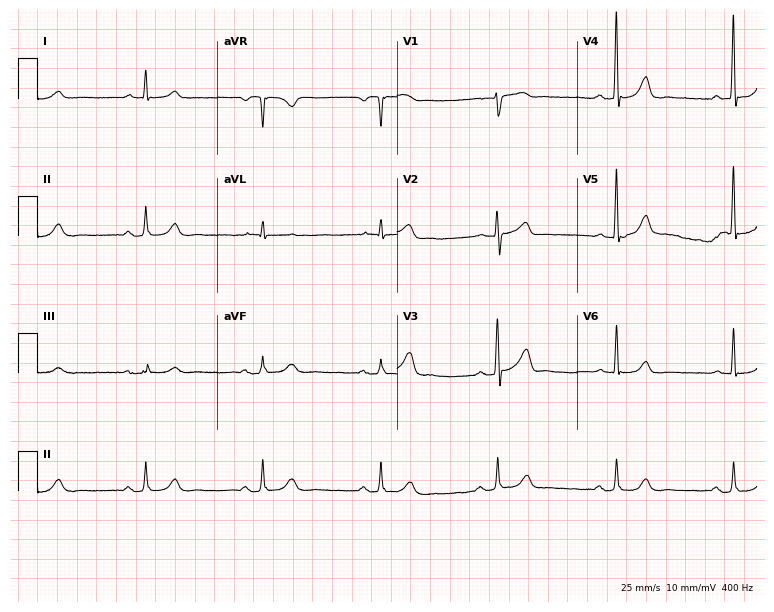
Resting 12-lead electrocardiogram. Patient: a 72-year-old man. None of these six findings is recorded: first-degree AV block, right bundle branch block, left bundle branch block, sinus bradycardia, atrial fibrillation, sinus tachycardia.